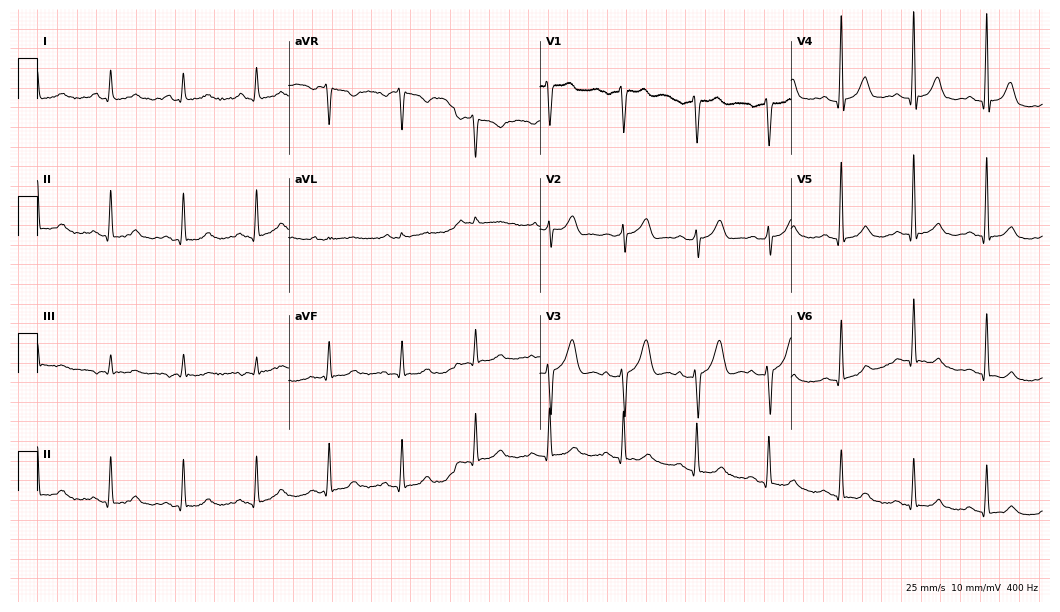
Resting 12-lead electrocardiogram. Patient: a man, 65 years old. Read as a normal ECG.